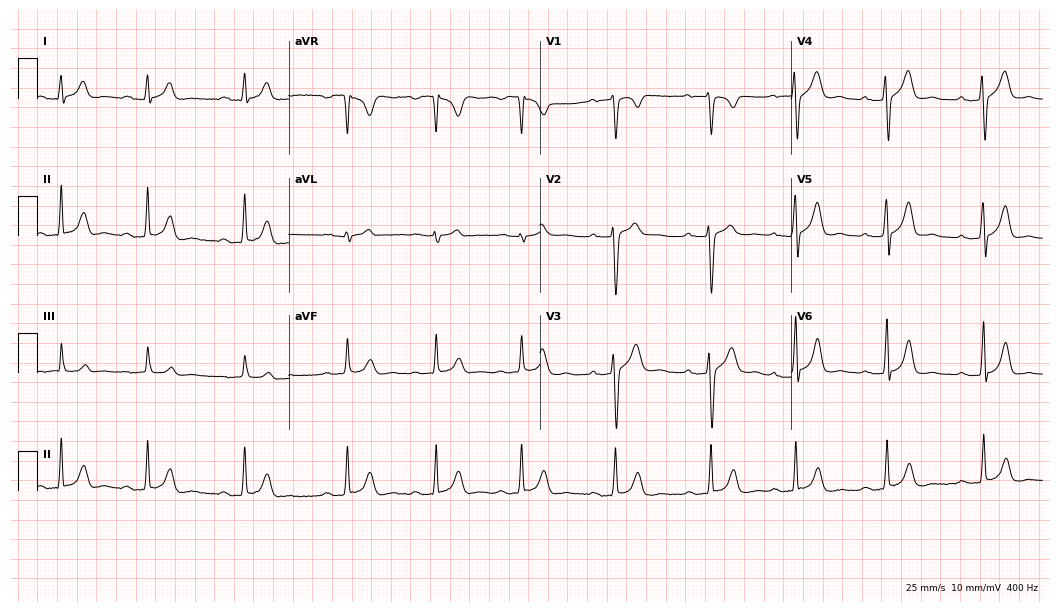
Resting 12-lead electrocardiogram. Patient: a female, 21 years old. The tracing shows first-degree AV block.